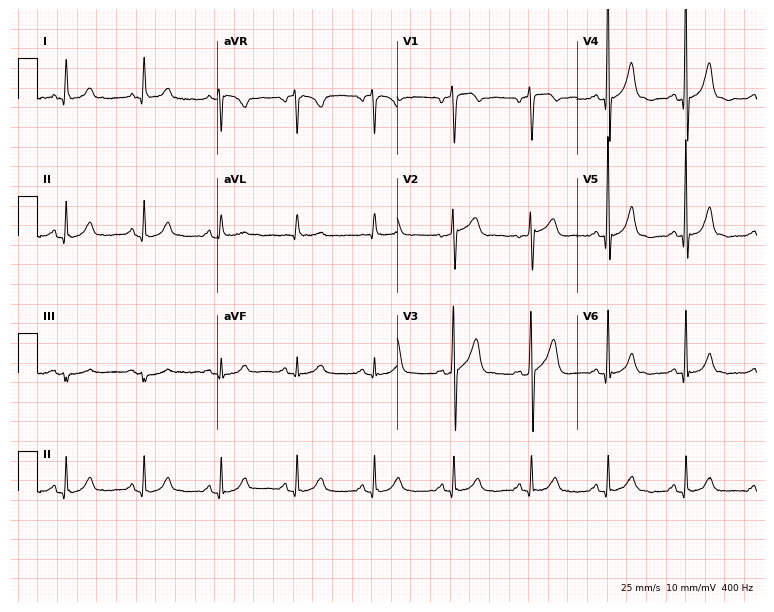
12-lead ECG (7.3-second recording at 400 Hz) from a male patient, 77 years old. Labelled as a normal ECG.